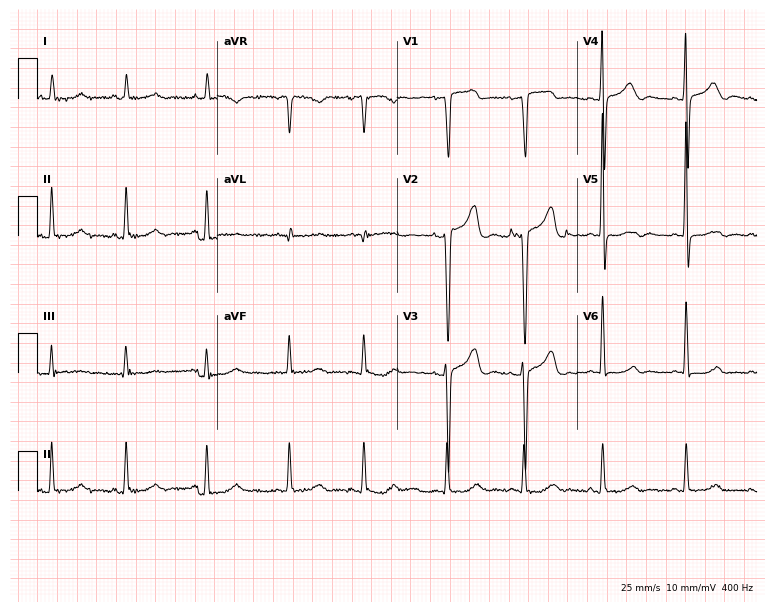
ECG (7.3-second recording at 400 Hz) — a 68-year-old female. Screened for six findings — first-degree AV block, right bundle branch block, left bundle branch block, sinus bradycardia, atrial fibrillation, sinus tachycardia — none is recorded.